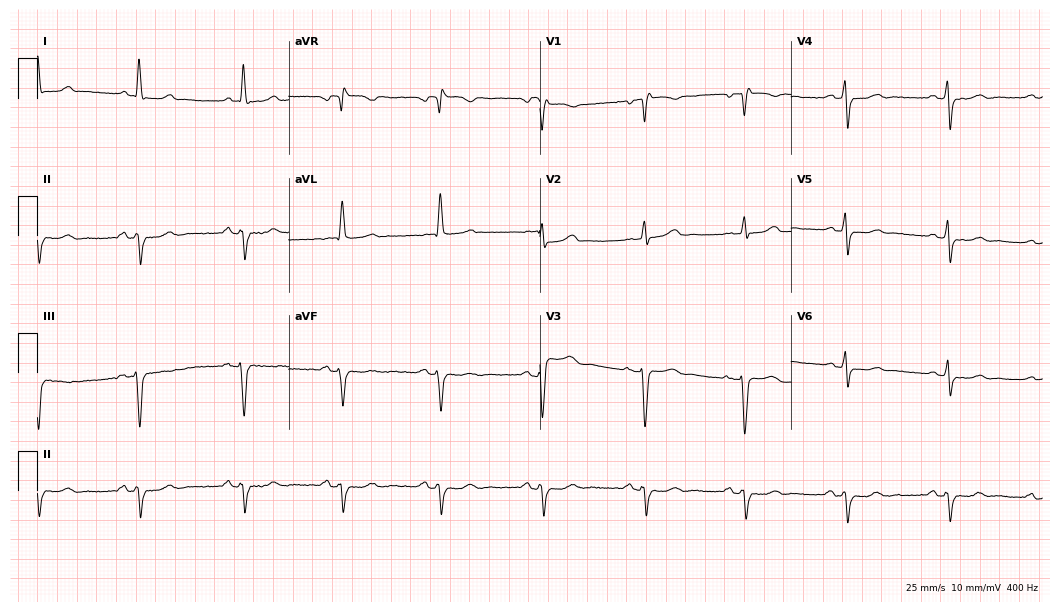
Resting 12-lead electrocardiogram. Patient: a woman, 60 years old. None of these six findings is recorded: first-degree AV block, right bundle branch block (RBBB), left bundle branch block (LBBB), sinus bradycardia, atrial fibrillation (AF), sinus tachycardia. Only these six findings were labelled.